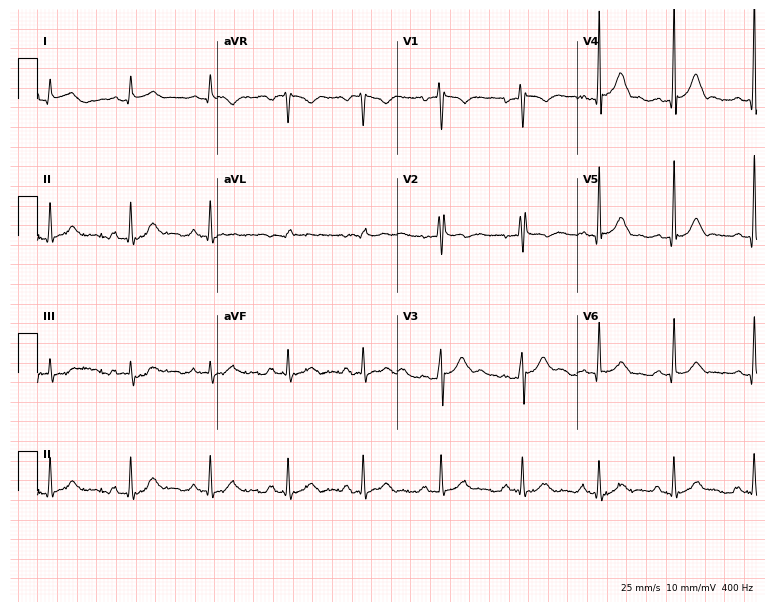
Resting 12-lead electrocardiogram. Patient: a 21-year-old male. None of these six findings is recorded: first-degree AV block, right bundle branch block, left bundle branch block, sinus bradycardia, atrial fibrillation, sinus tachycardia.